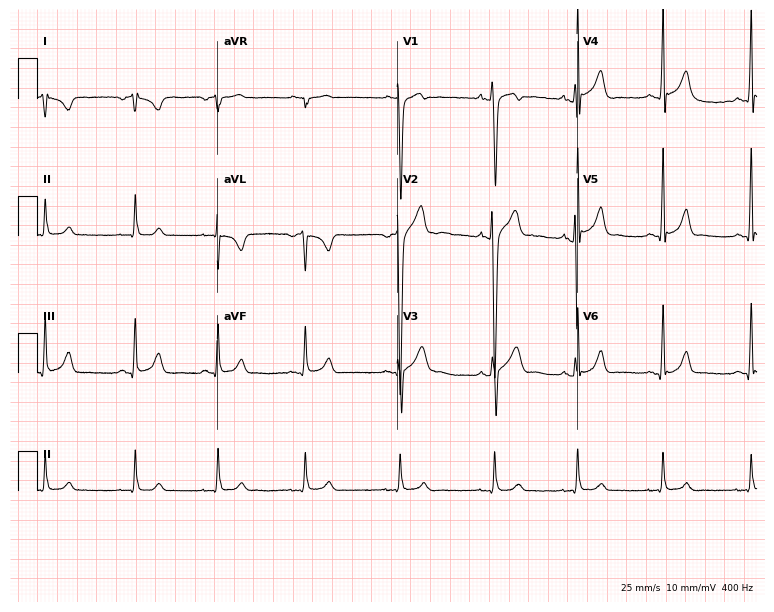
12-lead ECG from an 18-year-old man. Screened for six findings — first-degree AV block, right bundle branch block, left bundle branch block, sinus bradycardia, atrial fibrillation, sinus tachycardia — none is recorded.